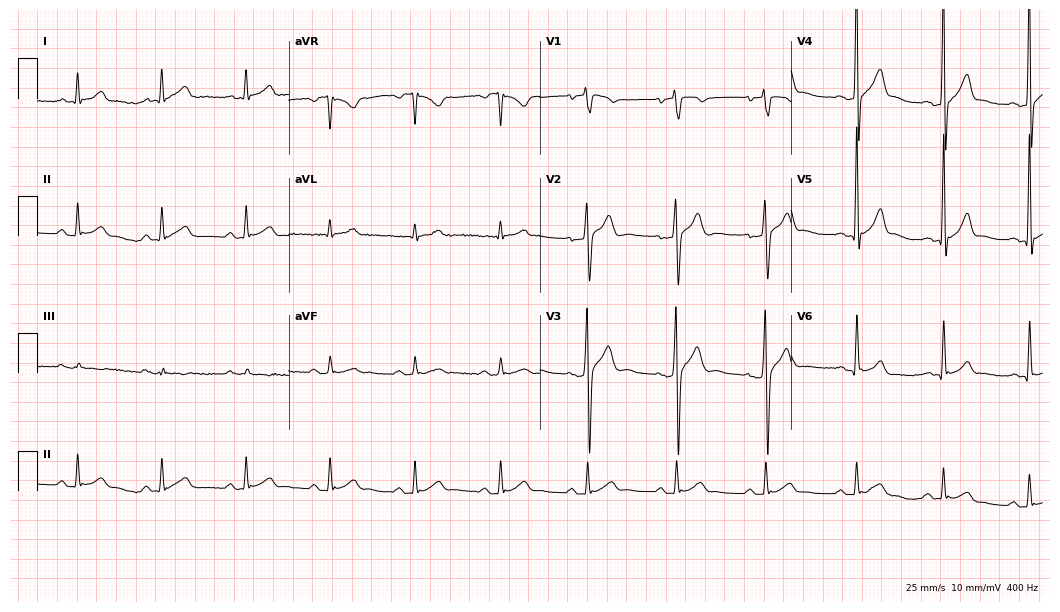
Resting 12-lead electrocardiogram (10.2-second recording at 400 Hz). Patient: an 83-year-old male. Read as a normal ECG.